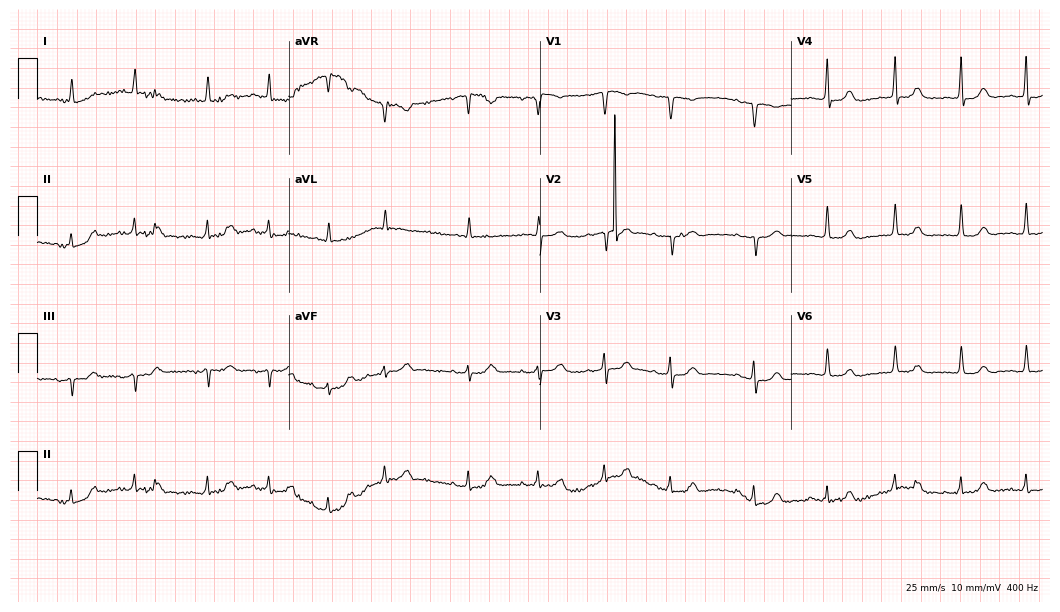
Resting 12-lead electrocardiogram (10.2-second recording at 400 Hz). Patient: a 74-year-old female. None of these six findings is recorded: first-degree AV block, right bundle branch block, left bundle branch block, sinus bradycardia, atrial fibrillation, sinus tachycardia. Only these six findings were labelled.